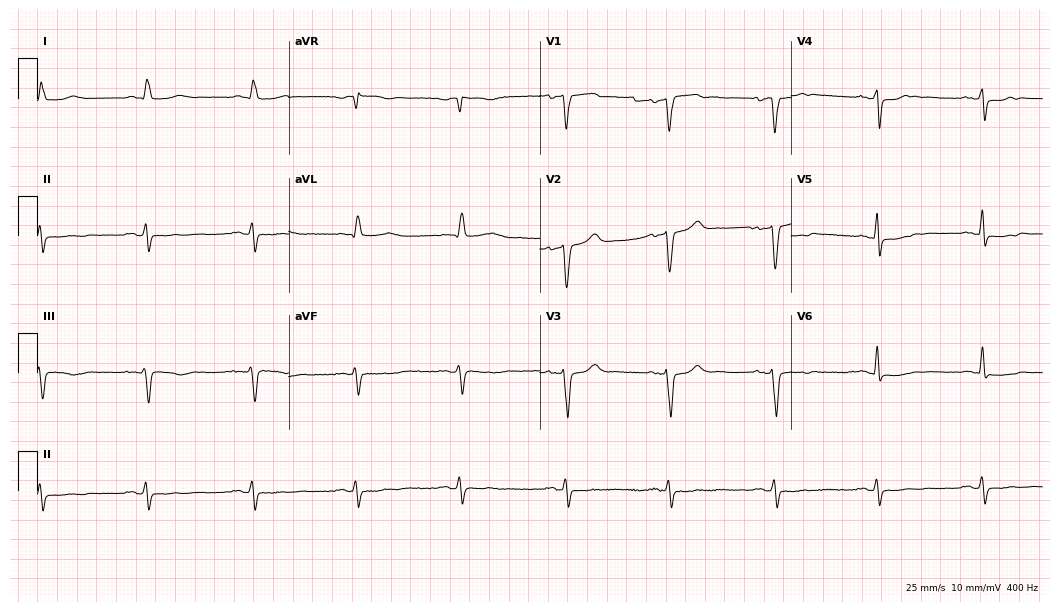
Standard 12-lead ECG recorded from a 79-year-old male. None of these six findings is recorded: first-degree AV block, right bundle branch block (RBBB), left bundle branch block (LBBB), sinus bradycardia, atrial fibrillation (AF), sinus tachycardia.